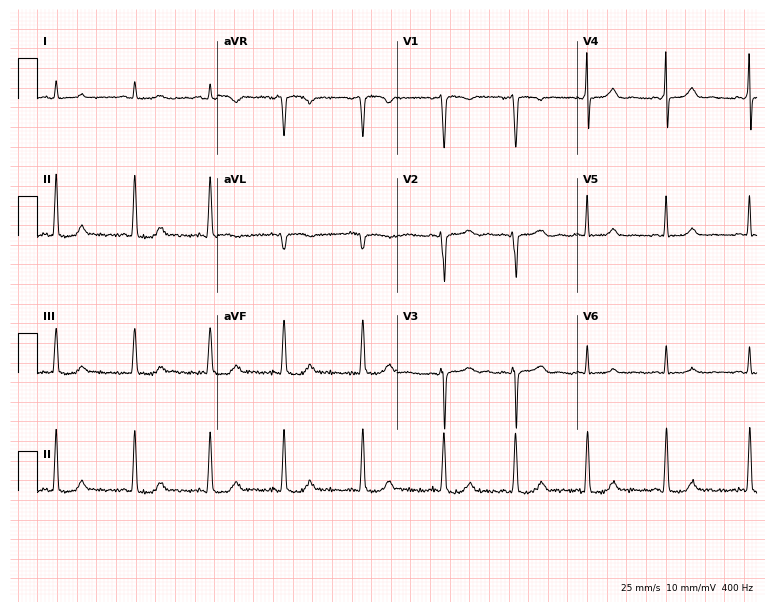
Electrocardiogram (7.3-second recording at 400 Hz), a female patient, 22 years old. Of the six screened findings (first-degree AV block, right bundle branch block, left bundle branch block, sinus bradycardia, atrial fibrillation, sinus tachycardia), none is recorded. Other findings, if any, are not listed.